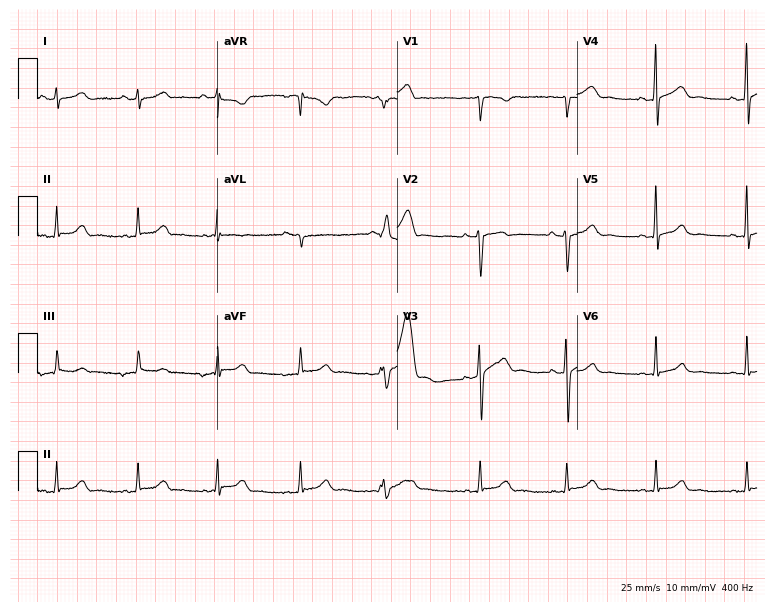
12-lead ECG from a 39-year-old male. Screened for six findings — first-degree AV block, right bundle branch block (RBBB), left bundle branch block (LBBB), sinus bradycardia, atrial fibrillation (AF), sinus tachycardia — none is recorded. Findings outside these six are not listed.